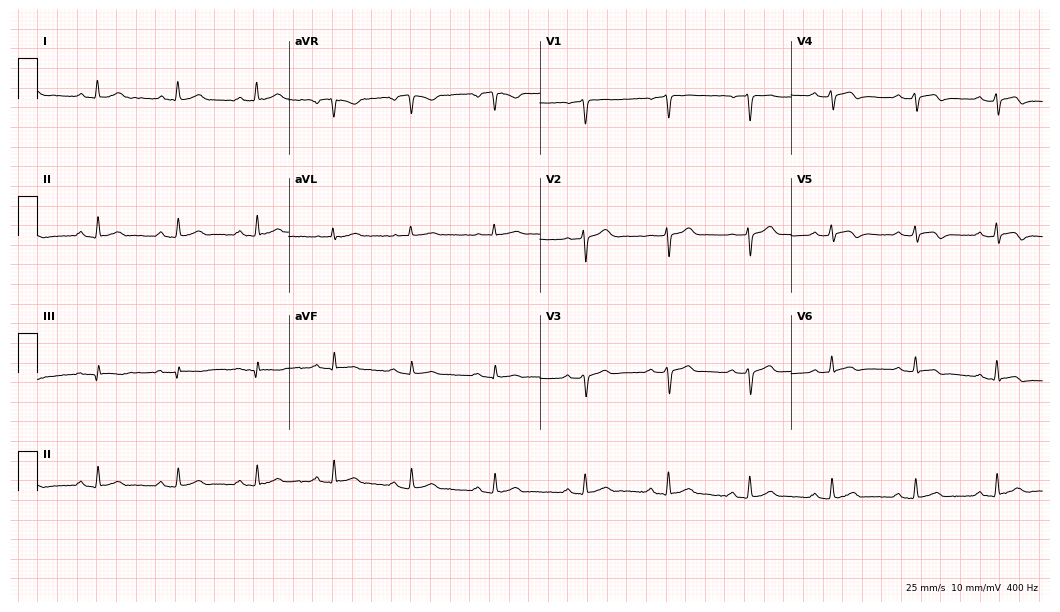
ECG — a 42-year-old man. Labelled as a normal ECG.